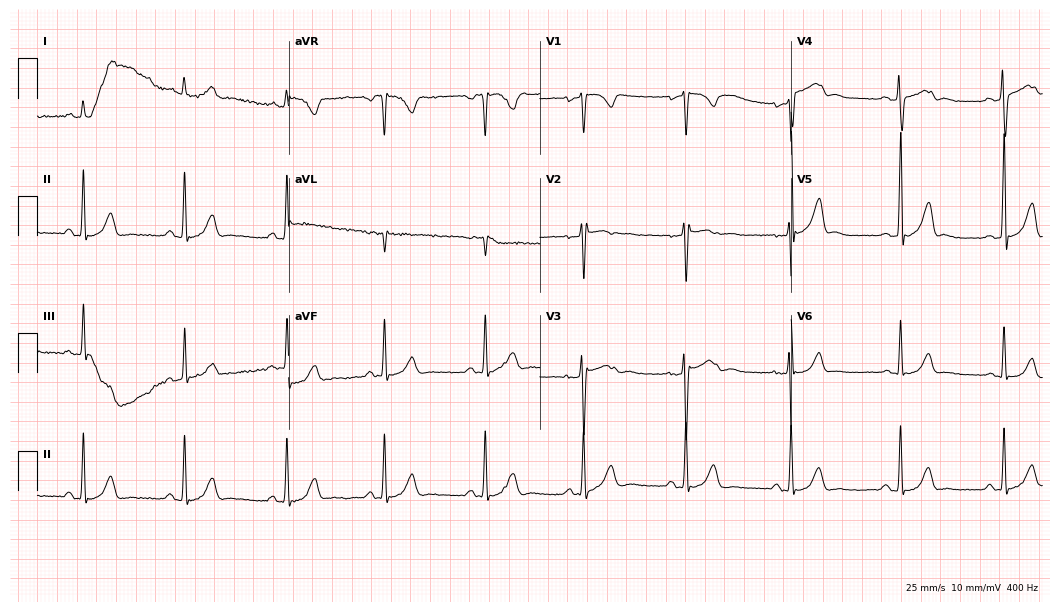
12-lead ECG from a 36-year-old male patient (10.2-second recording at 400 Hz). No first-degree AV block, right bundle branch block, left bundle branch block, sinus bradycardia, atrial fibrillation or sinus tachycardia recorded for this tracing. Only these six findings were labelled.